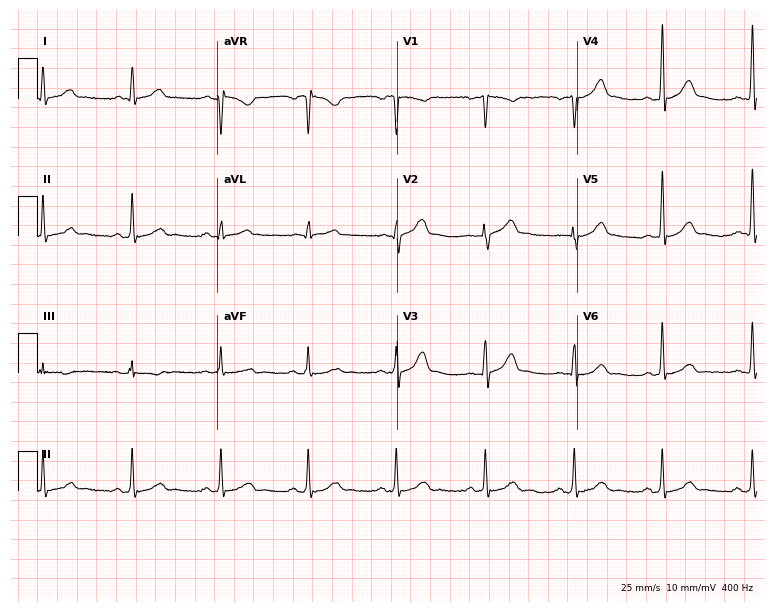
ECG (7.3-second recording at 400 Hz) — a male patient, 48 years old. Screened for six findings — first-degree AV block, right bundle branch block, left bundle branch block, sinus bradycardia, atrial fibrillation, sinus tachycardia — none is recorded.